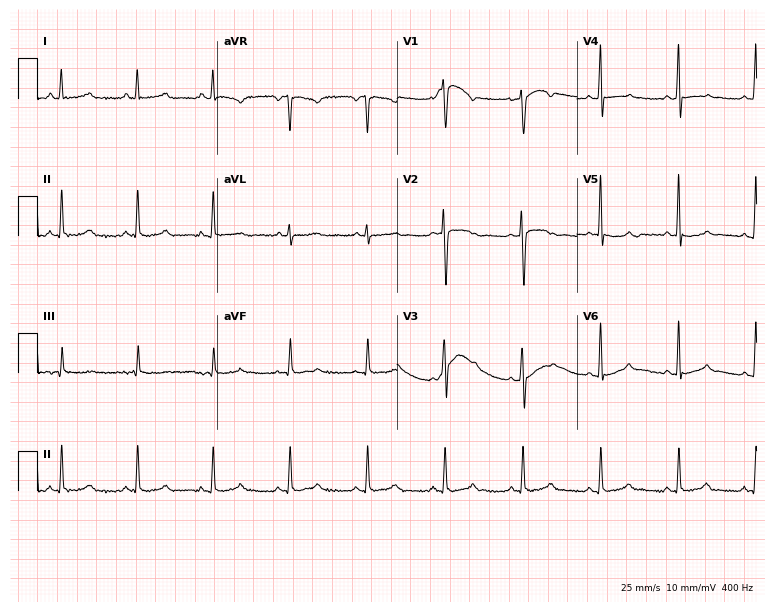
ECG — a 24-year-old female patient. Screened for six findings — first-degree AV block, right bundle branch block (RBBB), left bundle branch block (LBBB), sinus bradycardia, atrial fibrillation (AF), sinus tachycardia — none is recorded. Findings outside these six are not listed.